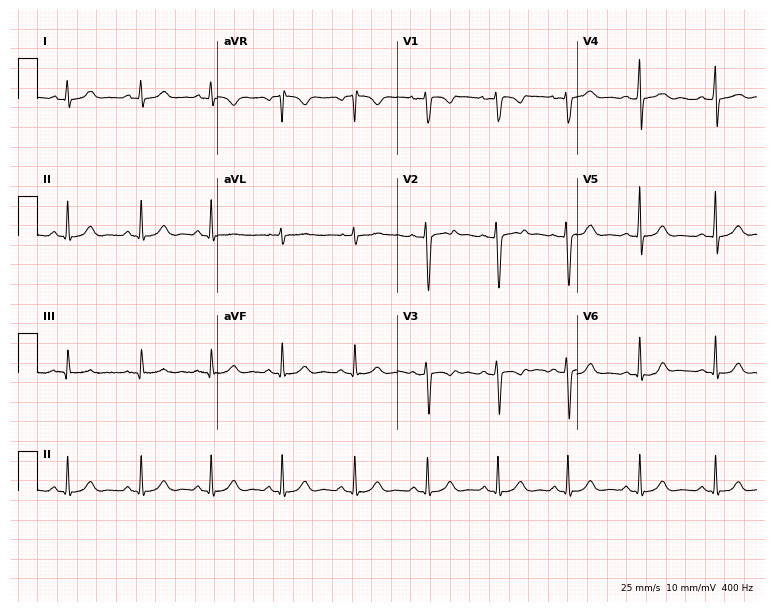
12-lead ECG (7.3-second recording at 400 Hz) from an 18-year-old woman. Labelled as a normal ECG.